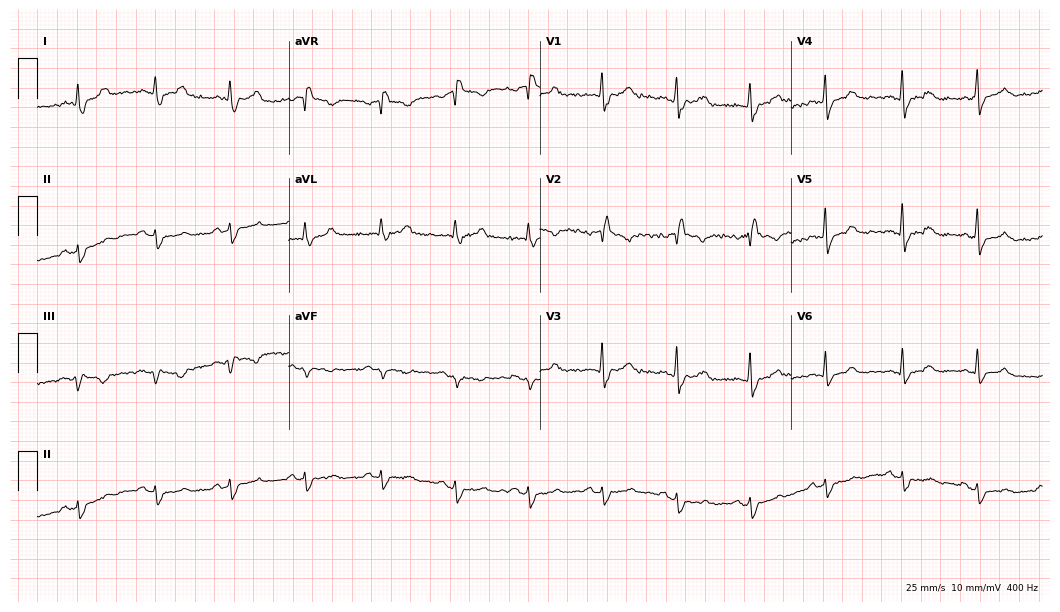
Electrocardiogram (10.2-second recording at 400 Hz), a 41-year-old female patient. Of the six screened findings (first-degree AV block, right bundle branch block, left bundle branch block, sinus bradycardia, atrial fibrillation, sinus tachycardia), none is recorded.